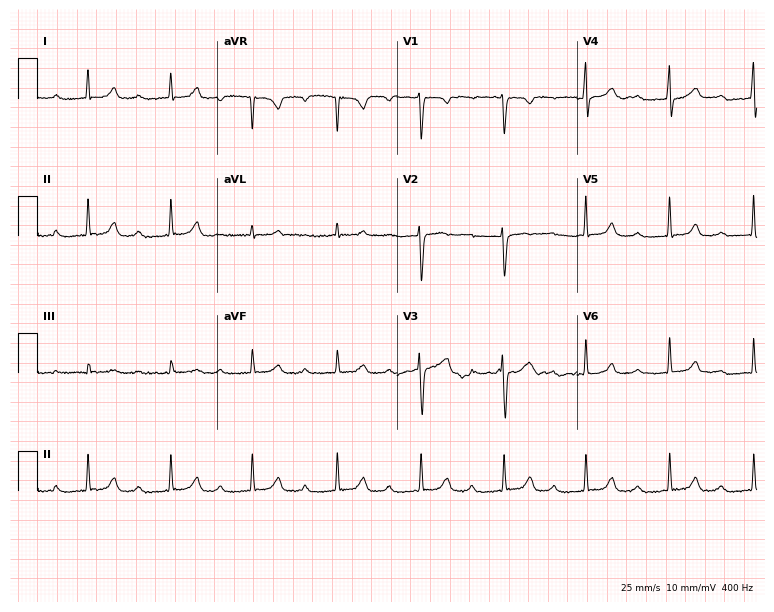
Resting 12-lead electrocardiogram. Patient: a 43-year-old woman. Read as a normal ECG.